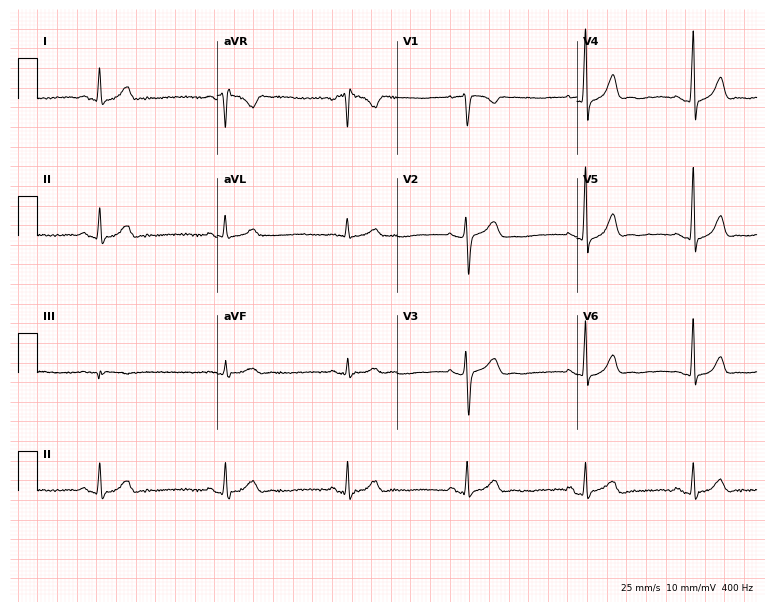
12-lead ECG from a 33-year-old man. Recorded interpretation: within normal limits.